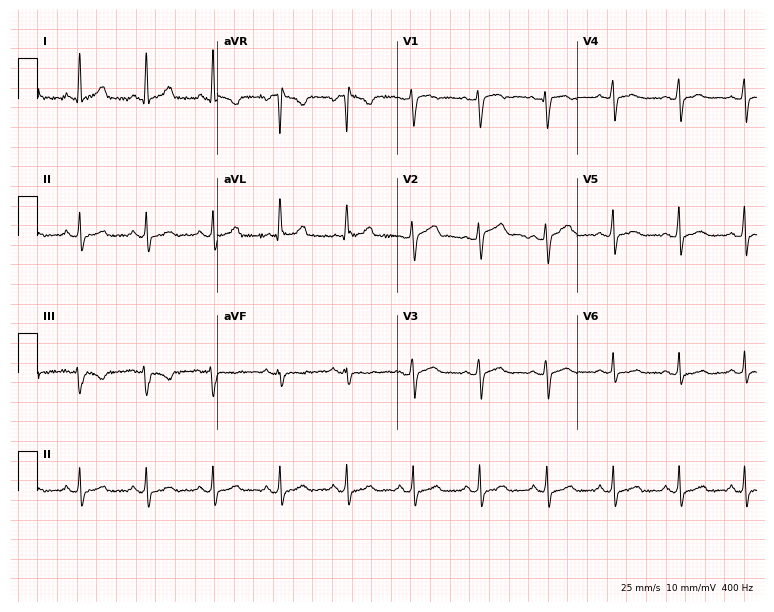
Resting 12-lead electrocardiogram (7.3-second recording at 400 Hz). Patient: a female, 52 years old. Read as a normal ECG.